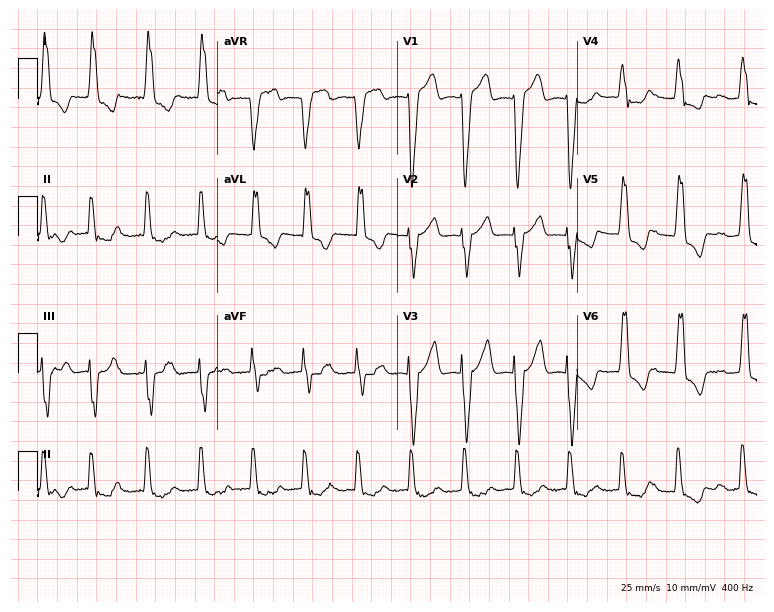
Resting 12-lead electrocardiogram (7.3-second recording at 400 Hz). Patient: an 82-year-old female. The tracing shows left bundle branch block.